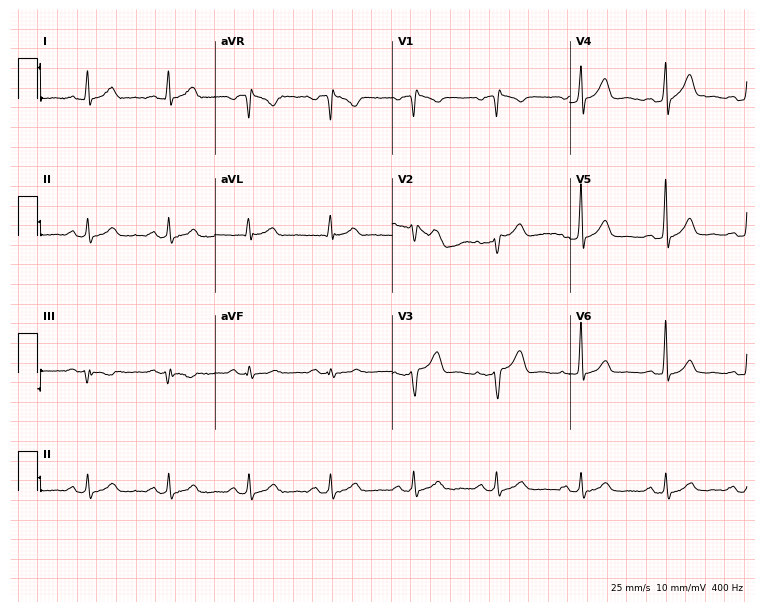
Resting 12-lead electrocardiogram. Patient: a 57-year-old man. Read as a normal ECG.